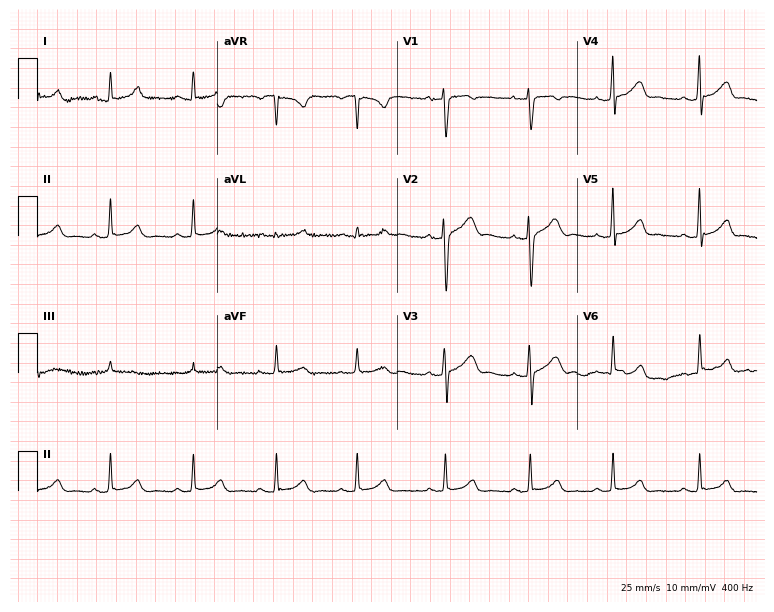
12-lead ECG (7.3-second recording at 400 Hz) from a female, 20 years old. Labelled as a normal ECG.